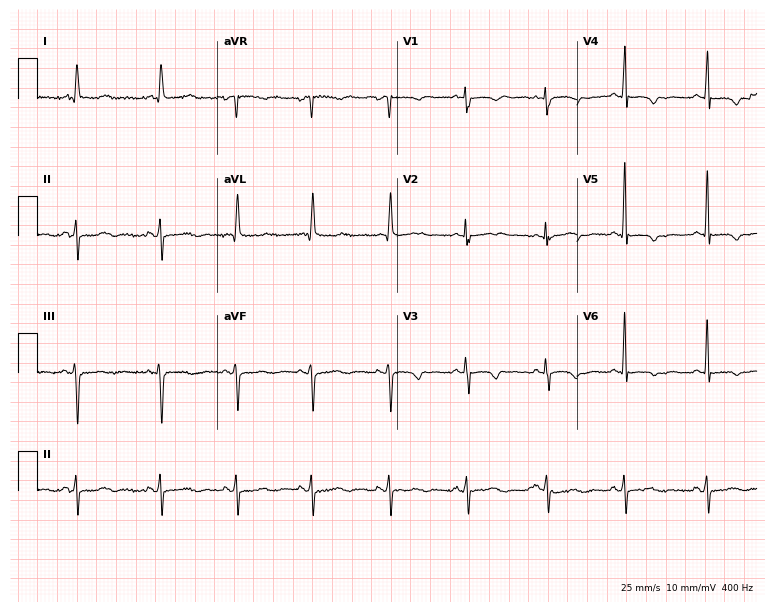
12-lead ECG from a 77-year-old female patient. No first-degree AV block, right bundle branch block (RBBB), left bundle branch block (LBBB), sinus bradycardia, atrial fibrillation (AF) or sinus tachycardia recorded for this tracing.